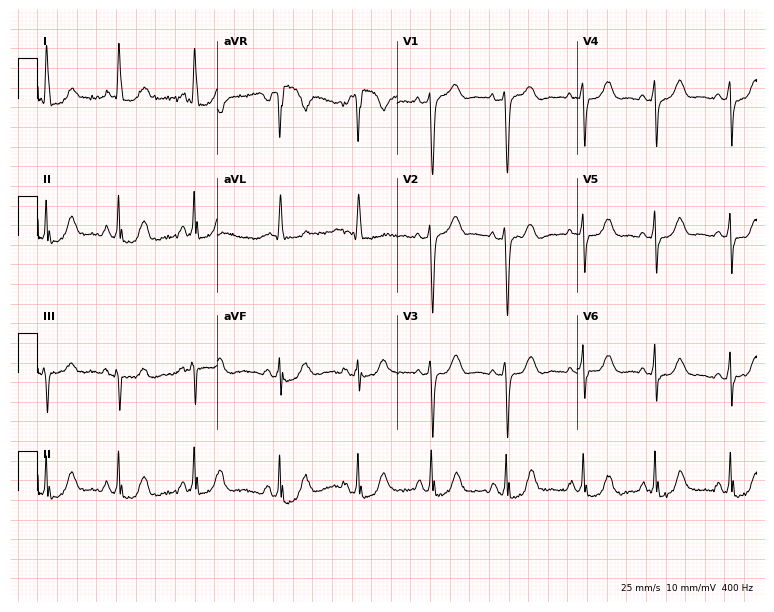
12-lead ECG from a woman, 41 years old. Screened for six findings — first-degree AV block, right bundle branch block, left bundle branch block, sinus bradycardia, atrial fibrillation, sinus tachycardia — none is recorded. Only these six findings were labelled.